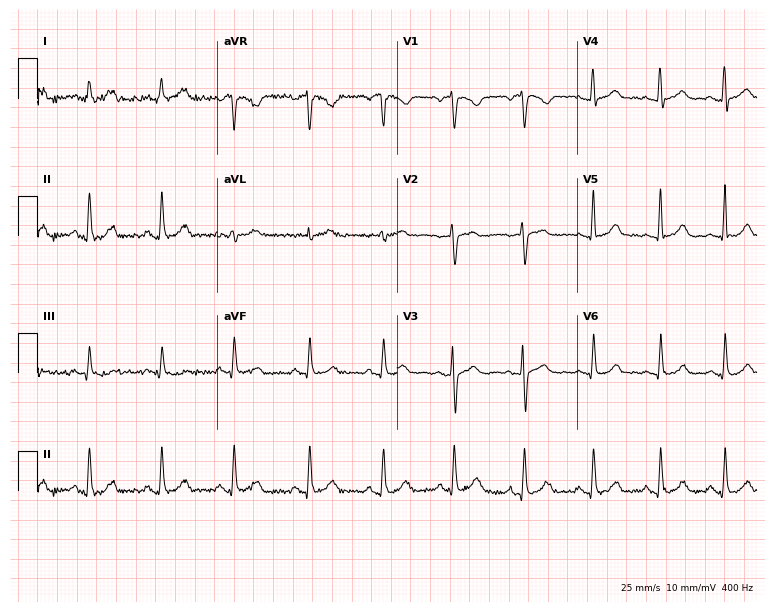
ECG (7.3-second recording at 400 Hz) — a 35-year-old female patient. Labelled as a normal ECG.